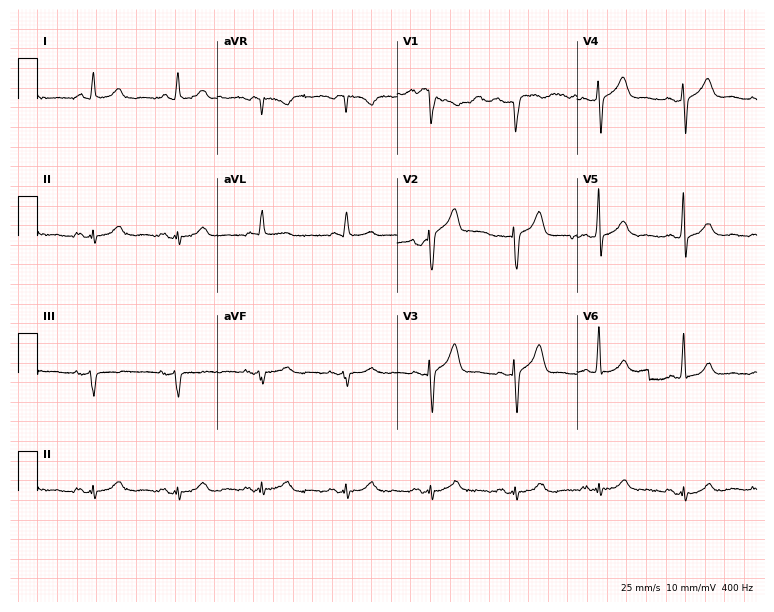
Electrocardiogram, a 73-year-old male. Overall reading on record: normal ECG.